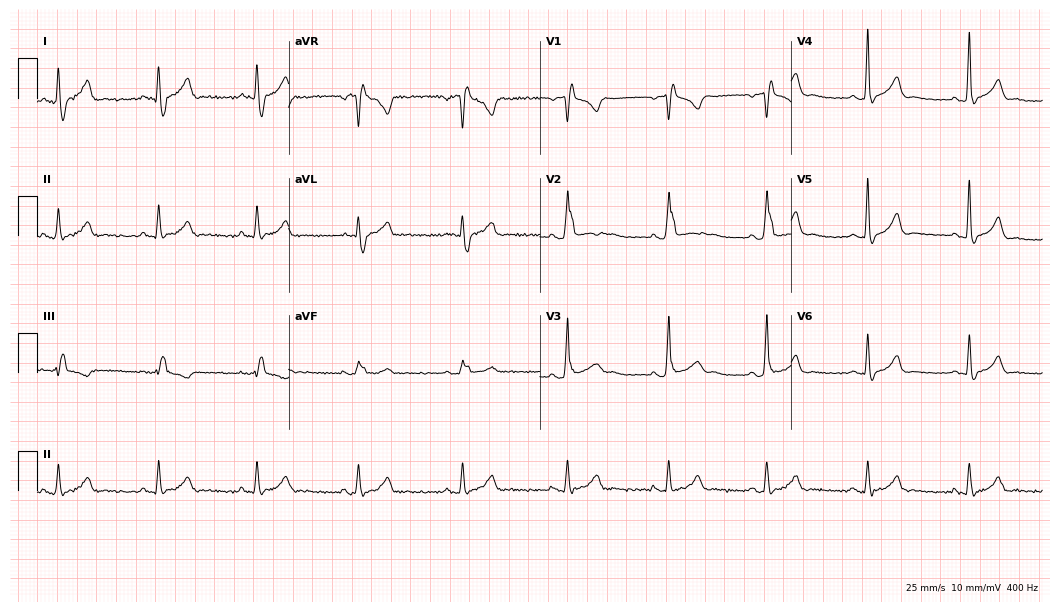
ECG (10.2-second recording at 400 Hz) — a 47-year-old male patient. Findings include right bundle branch block.